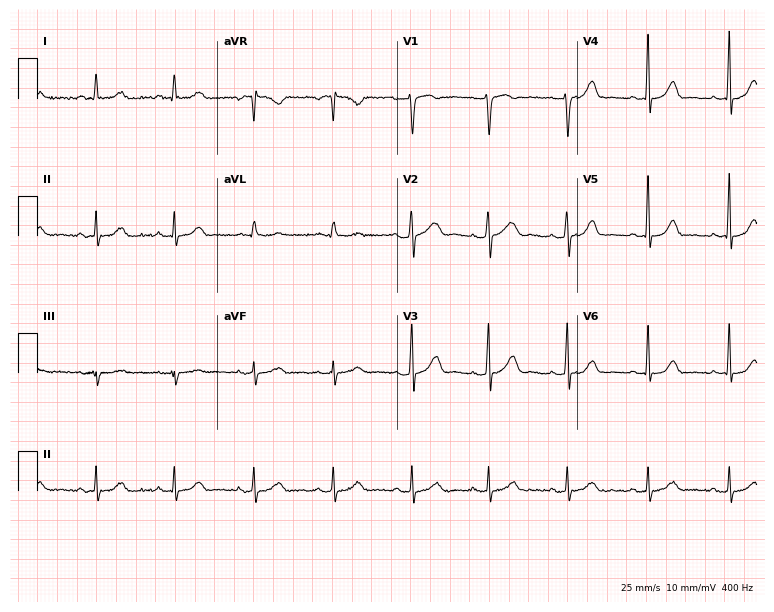
12-lead ECG from a female, 44 years old. Recorded interpretation: within normal limits.